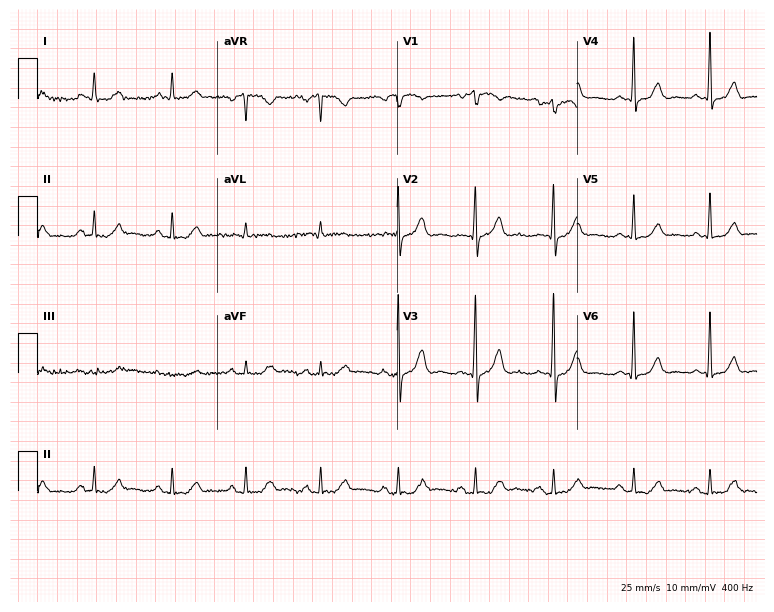
ECG — a woman, 71 years old. Labelled as a normal ECG.